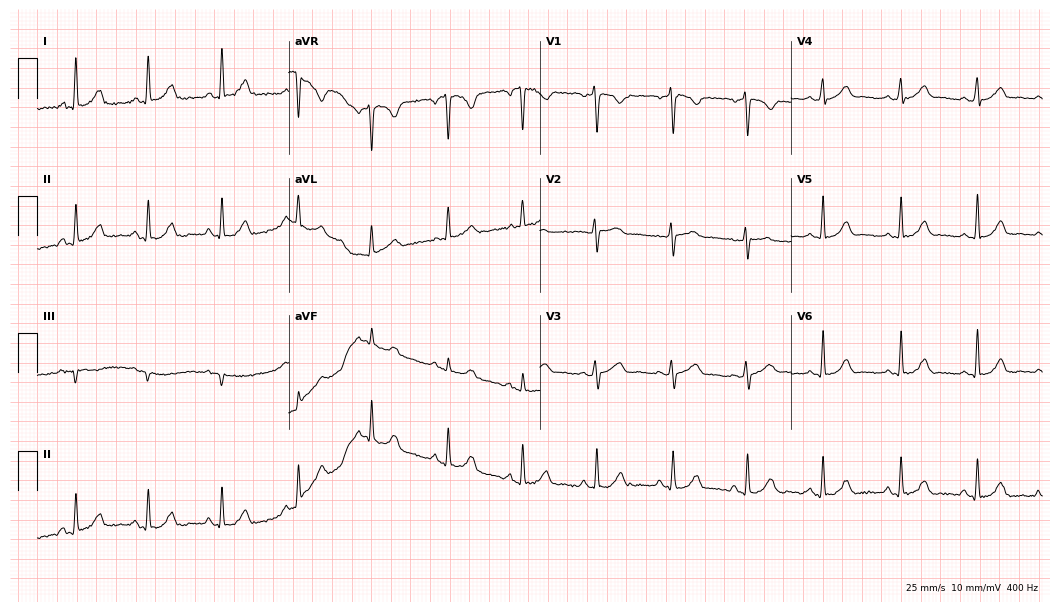
Electrocardiogram (10.2-second recording at 400 Hz), a woman, 37 years old. Overall reading on record: normal ECG.